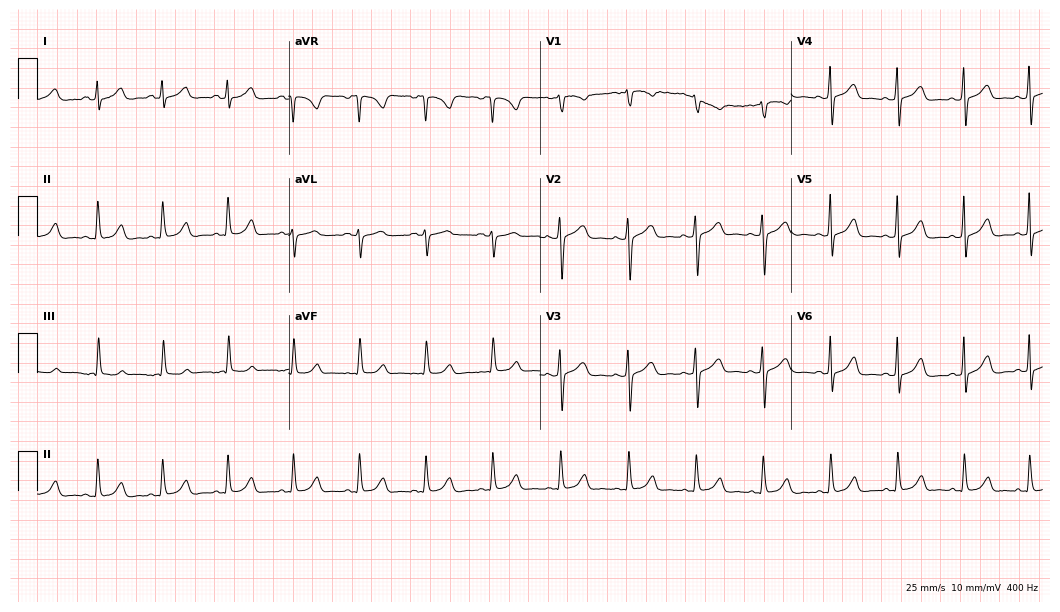
12-lead ECG (10.2-second recording at 400 Hz) from a female patient, 38 years old. Labelled as a normal ECG.